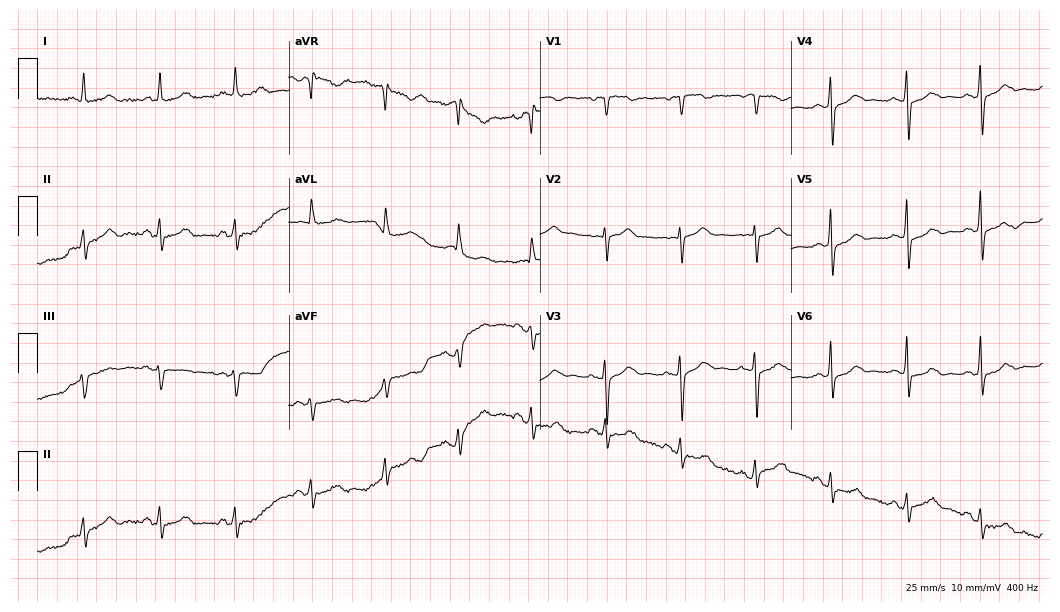
12-lead ECG from a female, 58 years old. Screened for six findings — first-degree AV block, right bundle branch block, left bundle branch block, sinus bradycardia, atrial fibrillation, sinus tachycardia — none is recorded.